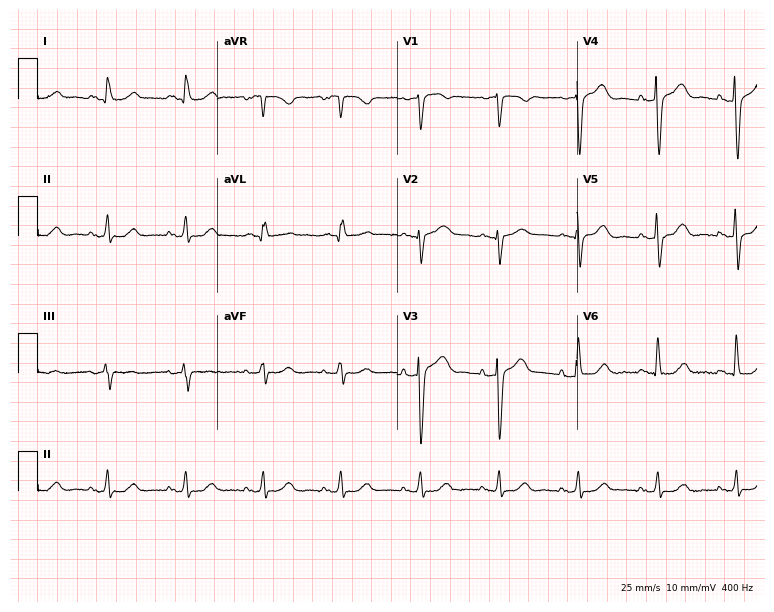
12-lead ECG from a man, 67 years old. Recorded interpretation: within normal limits.